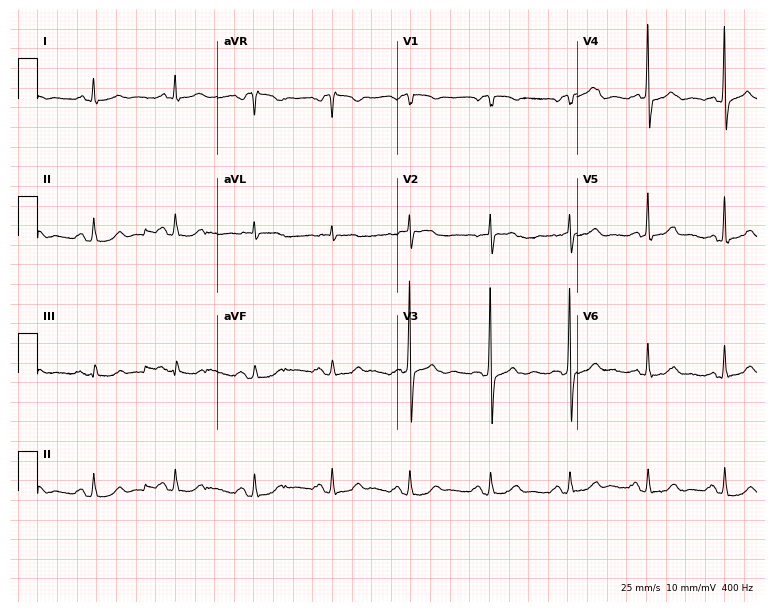
Electrocardiogram, a man, 61 years old. Overall reading on record: normal ECG.